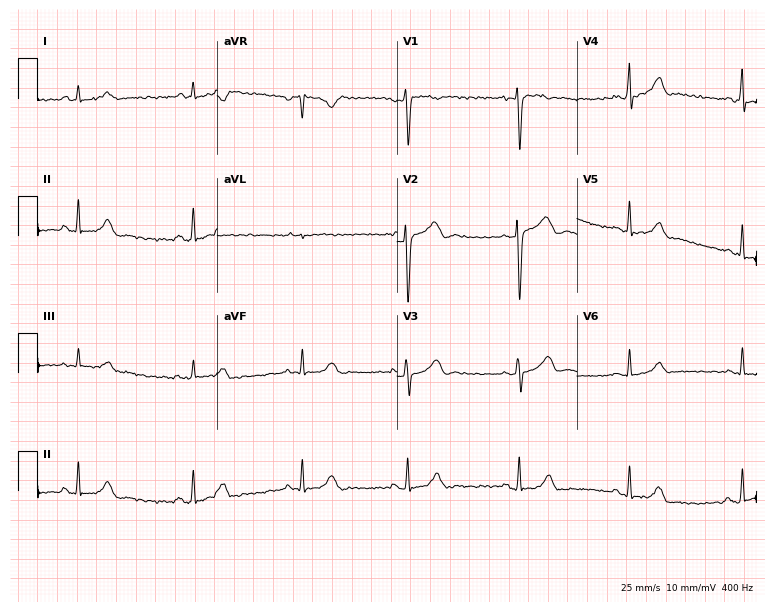
Standard 12-lead ECG recorded from a 28-year-old female. None of these six findings is recorded: first-degree AV block, right bundle branch block, left bundle branch block, sinus bradycardia, atrial fibrillation, sinus tachycardia.